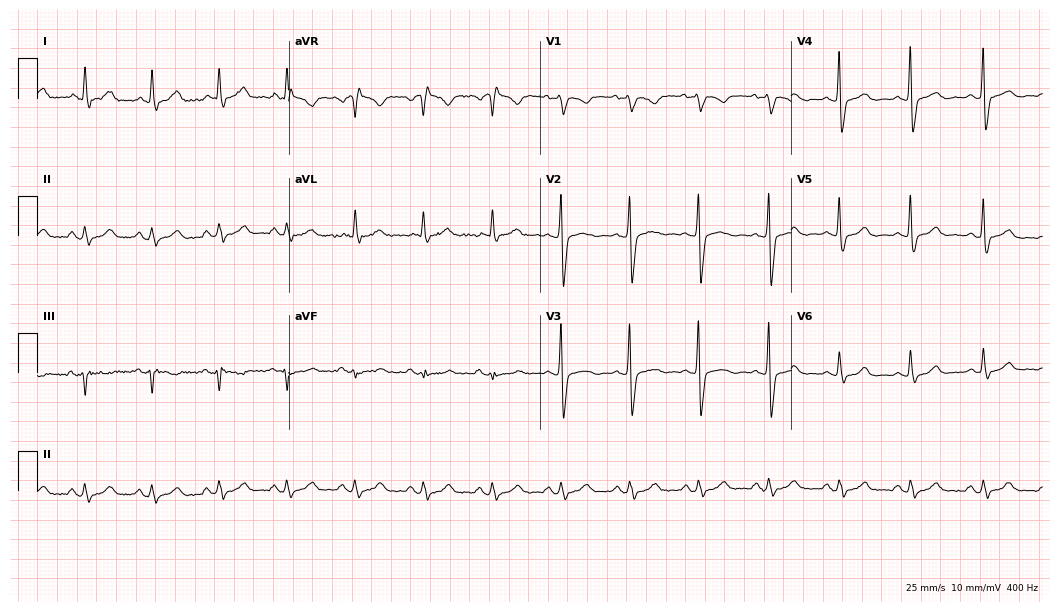
12-lead ECG (10.2-second recording at 400 Hz) from a 52-year-old man. Screened for six findings — first-degree AV block, right bundle branch block, left bundle branch block, sinus bradycardia, atrial fibrillation, sinus tachycardia — none is recorded. Other findings, if any, are not listed.